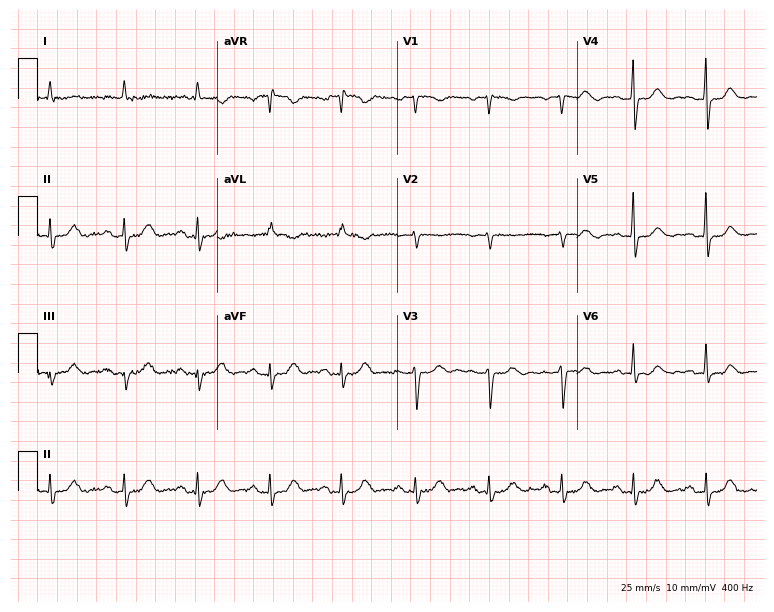
Standard 12-lead ECG recorded from a 79-year-old woman (7.3-second recording at 400 Hz). None of these six findings is recorded: first-degree AV block, right bundle branch block, left bundle branch block, sinus bradycardia, atrial fibrillation, sinus tachycardia. Only these six findings were labelled.